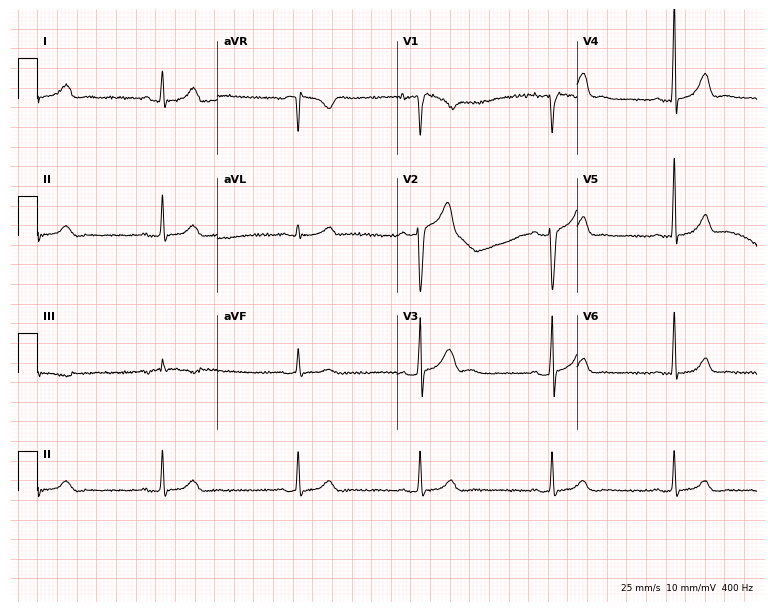
Electrocardiogram (7.3-second recording at 400 Hz), a 27-year-old man. Interpretation includes sinus bradycardia (a sinus rate of 50 beats per minute or less).